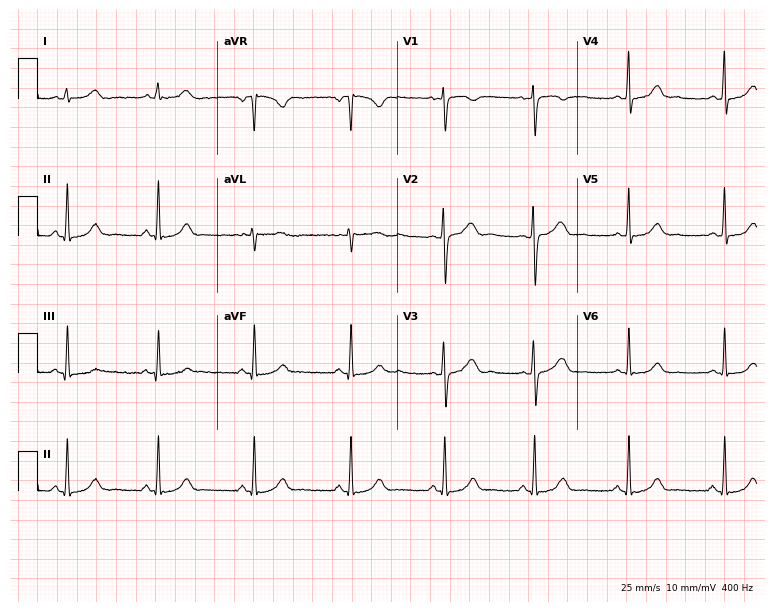
ECG (7.3-second recording at 400 Hz) — a female patient, 24 years old. Labelled as a normal ECG.